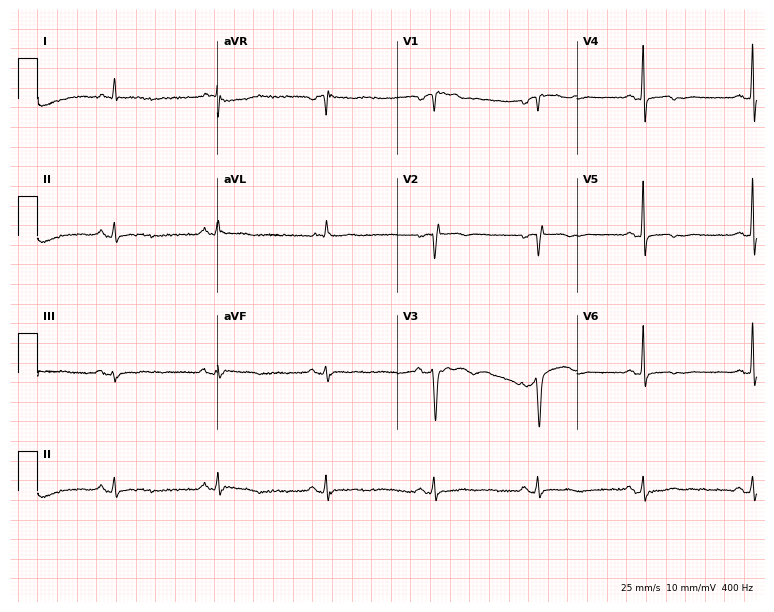
Resting 12-lead electrocardiogram (7.3-second recording at 400 Hz). Patient: an 81-year-old male. None of these six findings is recorded: first-degree AV block, right bundle branch block, left bundle branch block, sinus bradycardia, atrial fibrillation, sinus tachycardia.